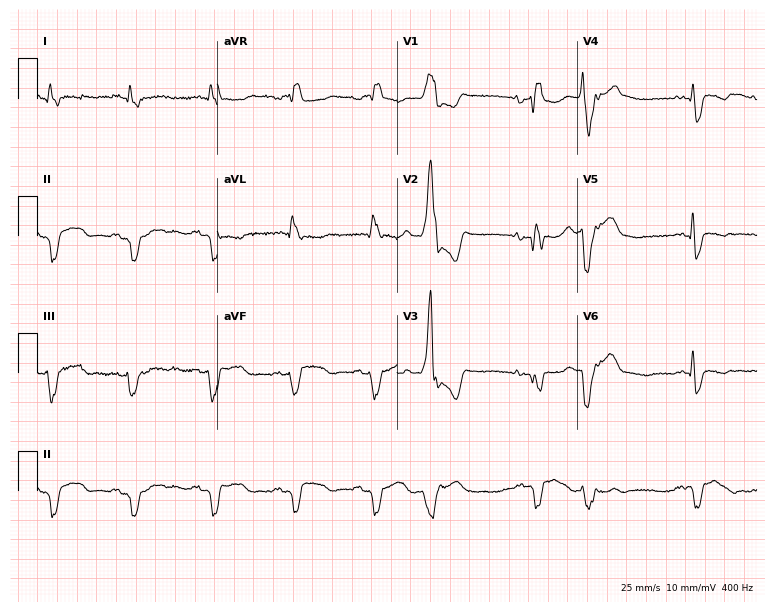
ECG (7.3-second recording at 400 Hz) — a male patient, 53 years old. Screened for six findings — first-degree AV block, right bundle branch block (RBBB), left bundle branch block (LBBB), sinus bradycardia, atrial fibrillation (AF), sinus tachycardia — none is recorded.